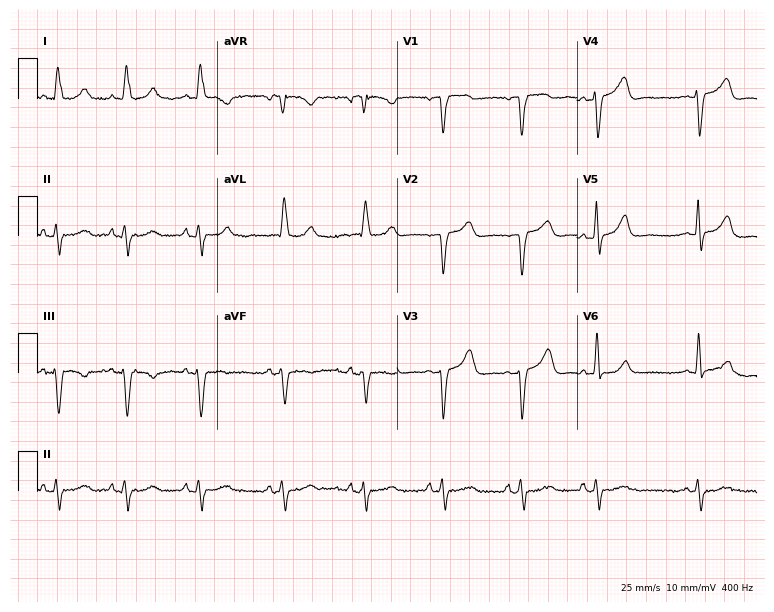
Resting 12-lead electrocardiogram (7.3-second recording at 400 Hz). Patient: an 84-year-old female. None of these six findings is recorded: first-degree AV block, right bundle branch block, left bundle branch block, sinus bradycardia, atrial fibrillation, sinus tachycardia. Findings outside these six are not listed.